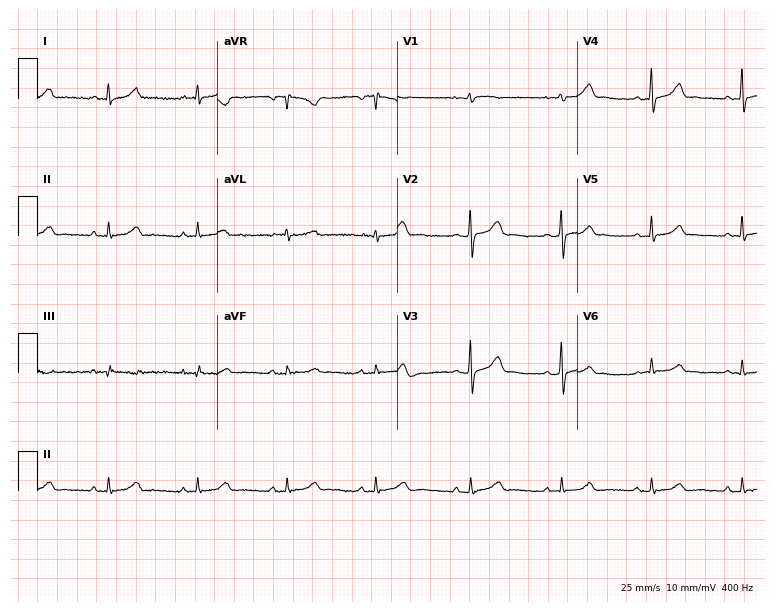
ECG (7.3-second recording at 400 Hz) — a female patient, 40 years old. Screened for six findings — first-degree AV block, right bundle branch block (RBBB), left bundle branch block (LBBB), sinus bradycardia, atrial fibrillation (AF), sinus tachycardia — none is recorded. Other findings, if any, are not listed.